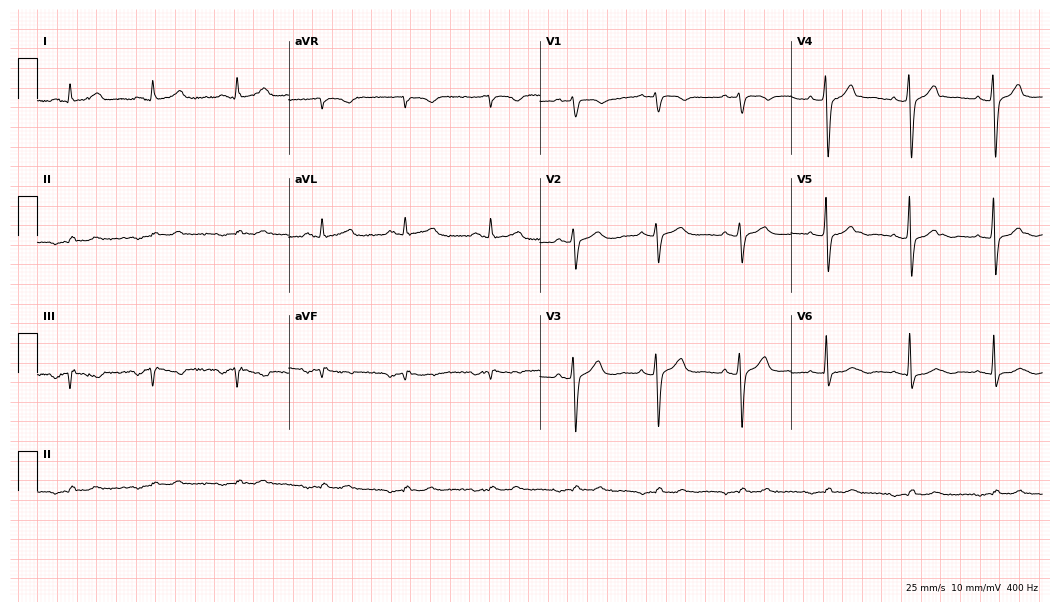
Electrocardiogram (10.2-second recording at 400 Hz), a man, 72 years old. Of the six screened findings (first-degree AV block, right bundle branch block (RBBB), left bundle branch block (LBBB), sinus bradycardia, atrial fibrillation (AF), sinus tachycardia), none is recorded. Only these six findings were labelled.